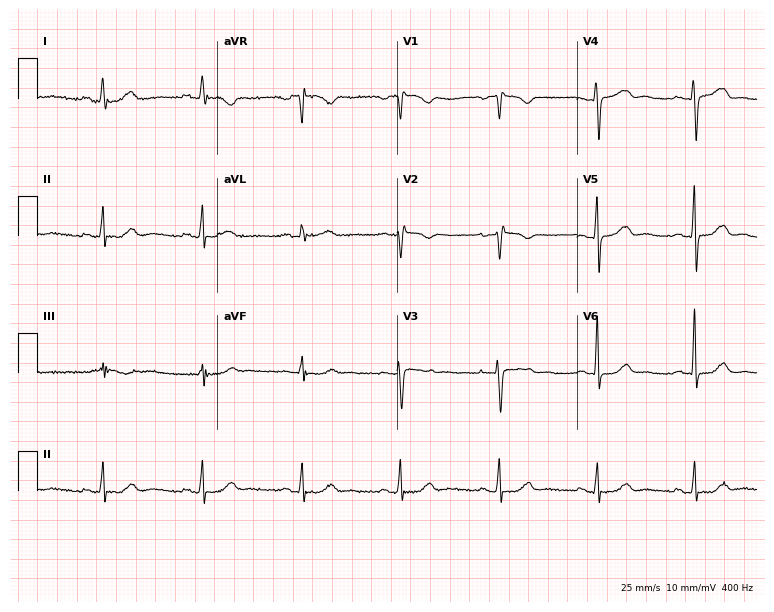
Standard 12-lead ECG recorded from a female patient, 58 years old. Read as a normal ECG.